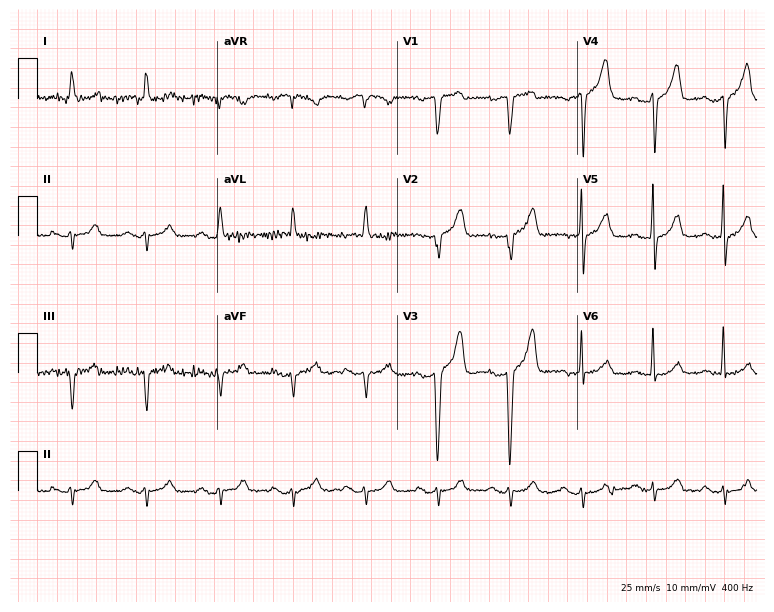
12-lead ECG (7.3-second recording at 400 Hz) from a male patient, 64 years old. Screened for six findings — first-degree AV block, right bundle branch block, left bundle branch block, sinus bradycardia, atrial fibrillation, sinus tachycardia — none is recorded. Other findings, if any, are not listed.